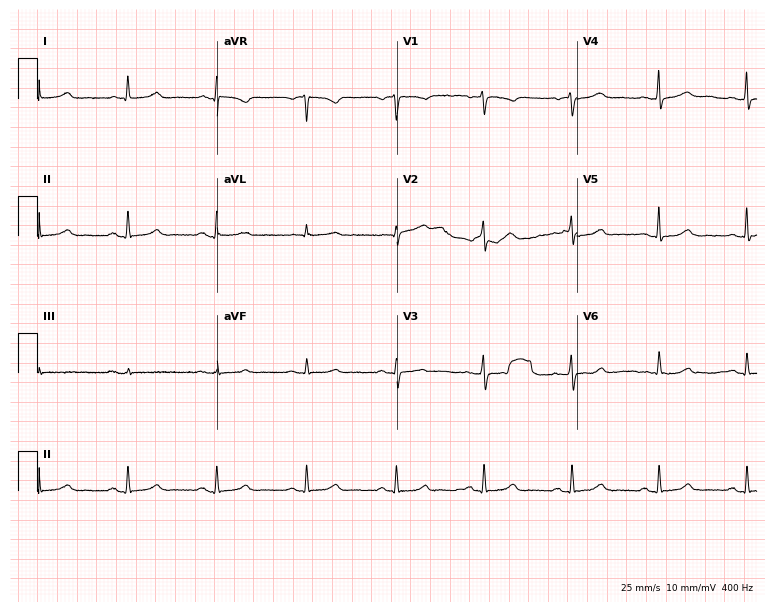
12-lead ECG from a female patient, 58 years old. Recorded interpretation: within normal limits.